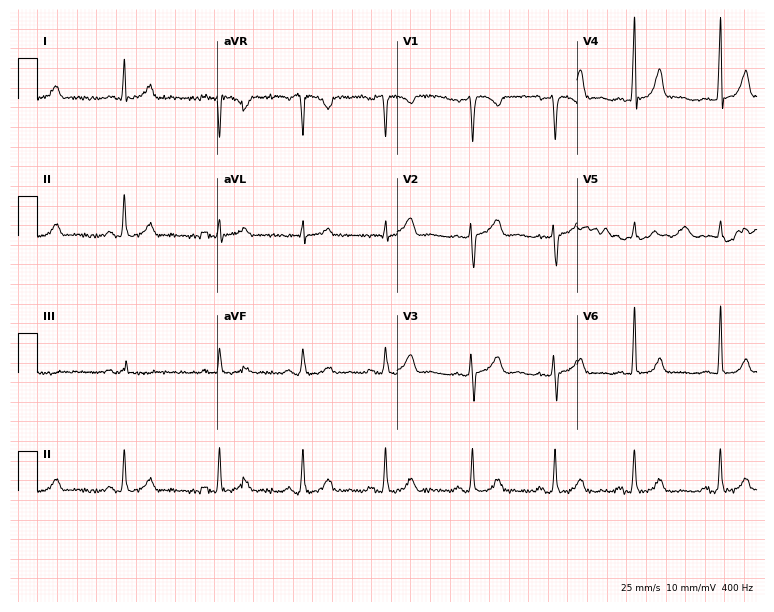
Electrocardiogram, a 36-year-old female. Overall reading on record: normal ECG.